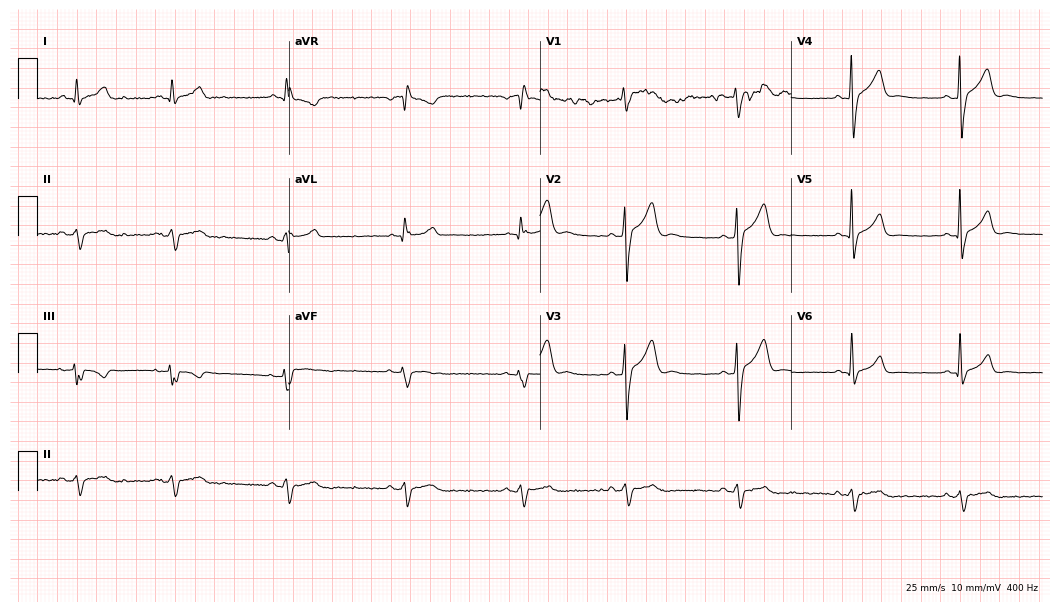
ECG — a man, 33 years old. Findings include right bundle branch block.